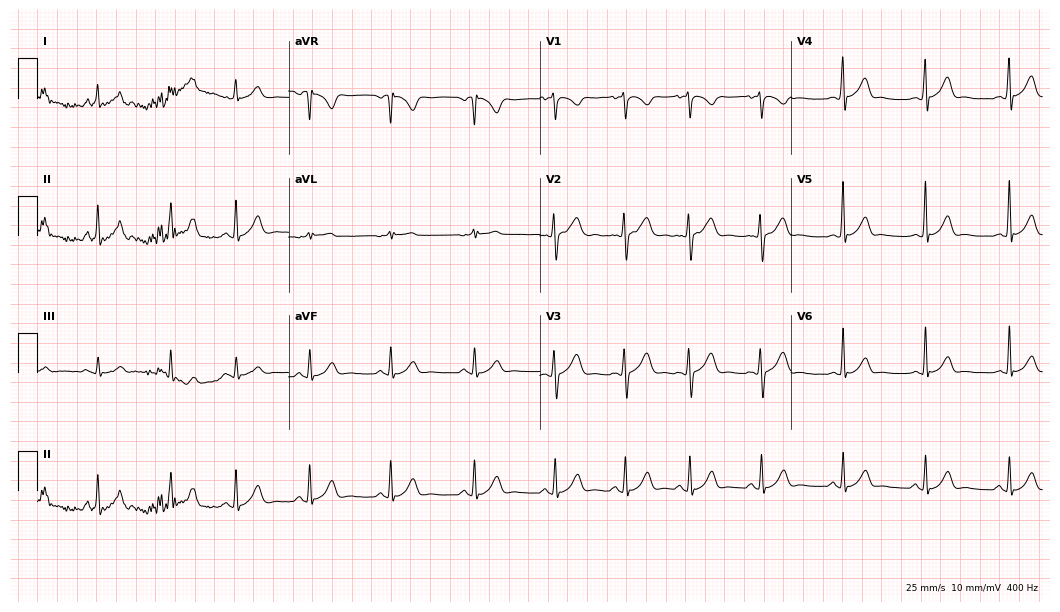
Standard 12-lead ECG recorded from a 30-year-old man. Read as a normal ECG.